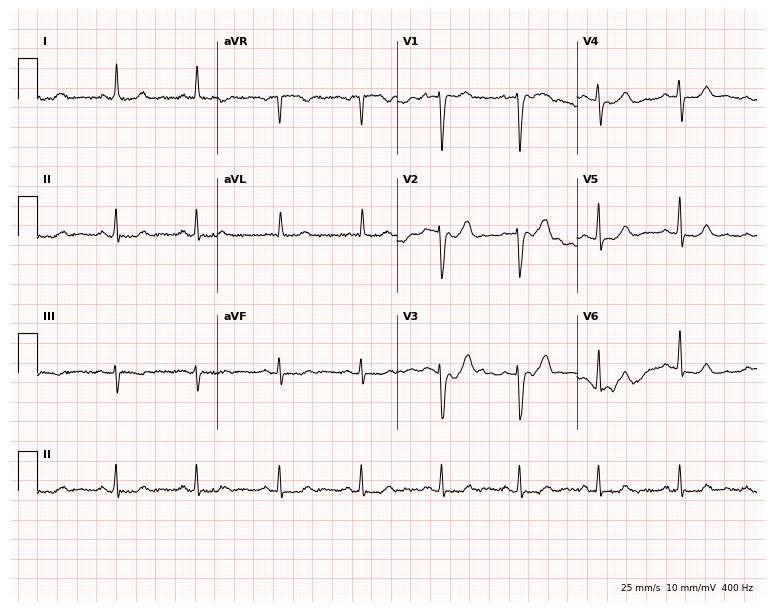
Electrocardiogram (7.3-second recording at 400 Hz), a female patient, 53 years old. Of the six screened findings (first-degree AV block, right bundle branch block, left bundle branch block, sinus bradycardia, atrial fibrillation, sinus tachycardia), none is recorded. Other findings, if any, are not listed.